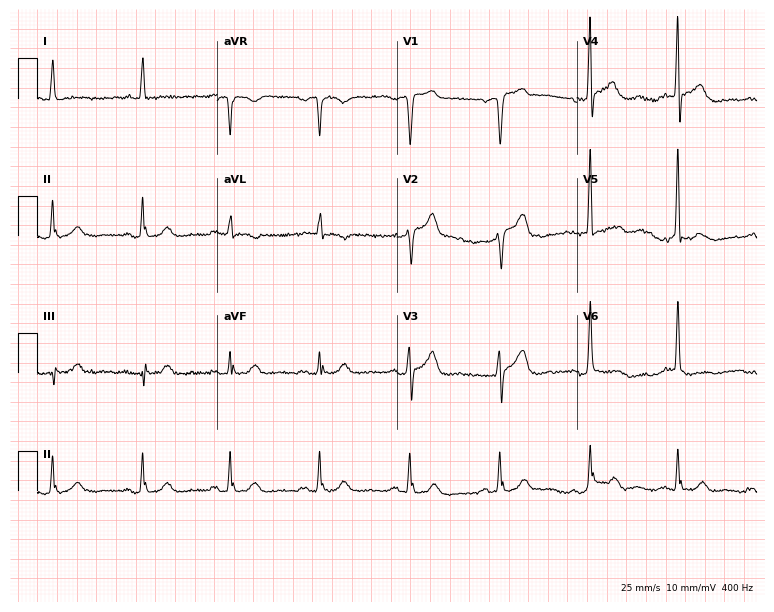
Electrocardiogram, a man, 81 years old. Of the six screened findings (first-degree AV block, right bundle branch block, left bundle branch block, sinus bradycardia, atrial fibrillation, sinus tachycardia), none is recorded. Other findings, if any, are not listed.